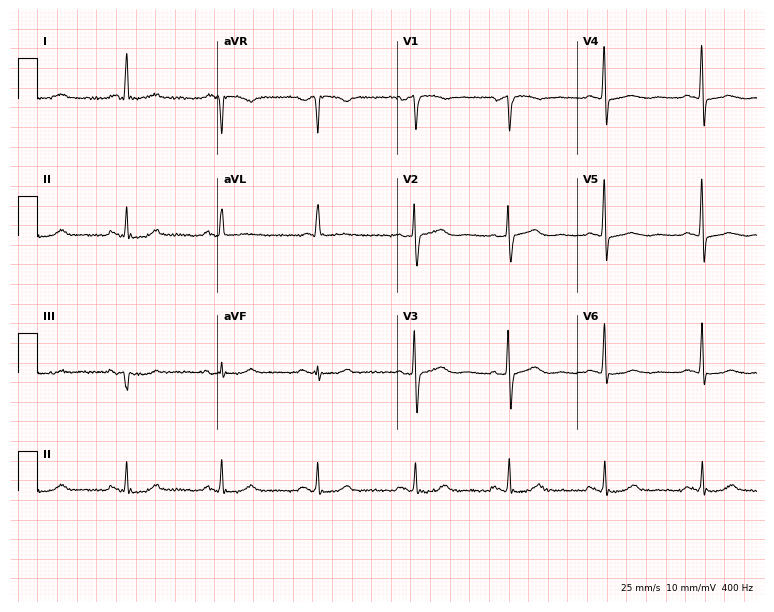
ECG (7.3-second recording at 400 Hz) — an 84-year-old female patient. Labelled as a normal ECG.